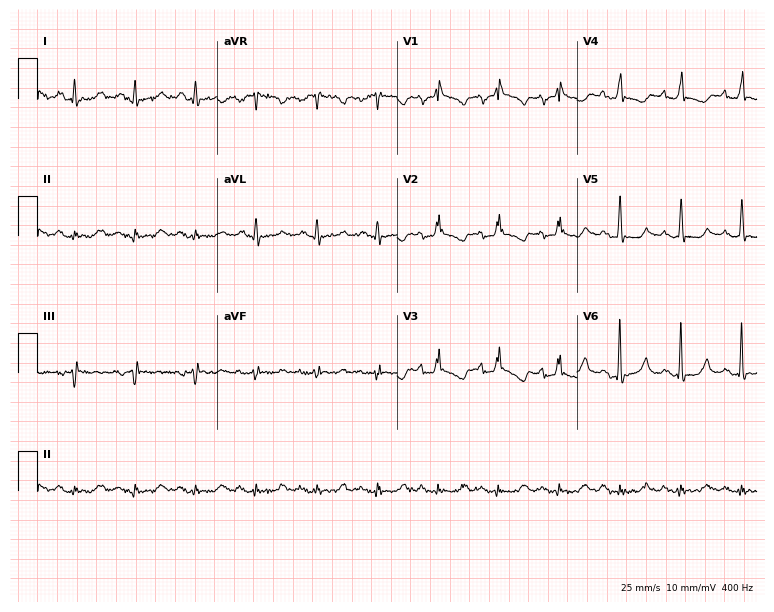
ECG — a 41-year-old female. Screened for six findings — first-degree AV block, right bundle branch block (RBBB), left bundle branch block (LBBB), sinus bradycardia, atrial fibrillation (AF), sinus tachycardia — none is recorded.